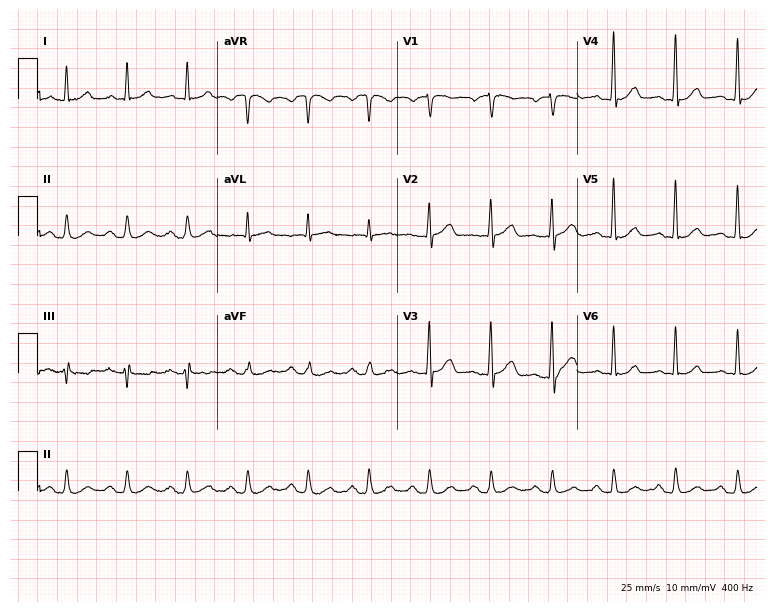
Electrocardiogram, a 57-year-old male. Overall reading on record: normal ECG.